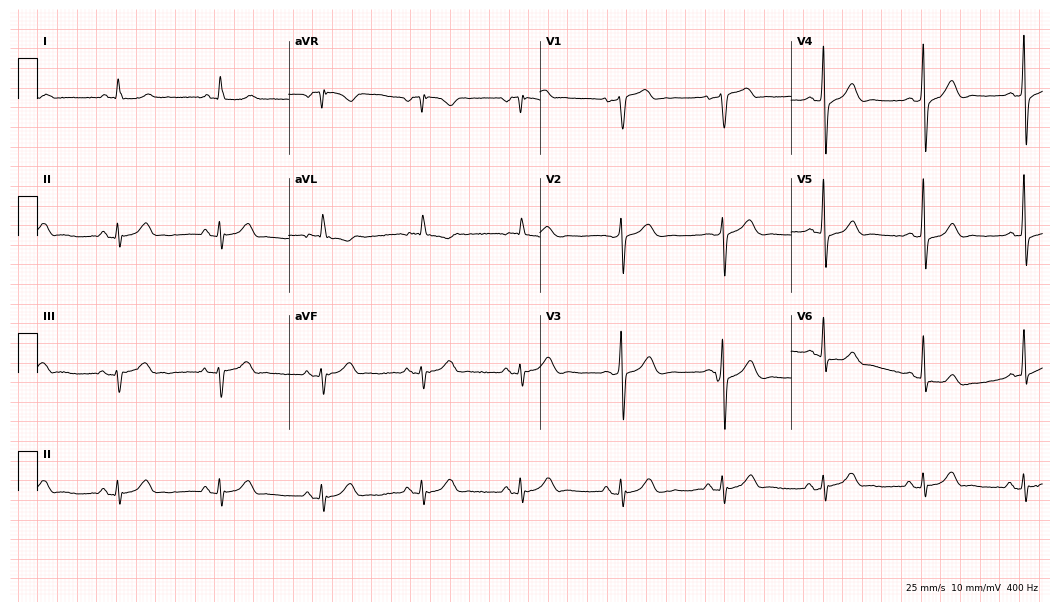
Resting 12-lead electrocardiogram. Patient: a 67-year-old man. None of these six findings is recorded: first-degree AV block, right bundle branch block (RBBB), left bundle branch block (LBBB), sinus bradycardia, atrial fibrillation (AF), sinus tachycardia.